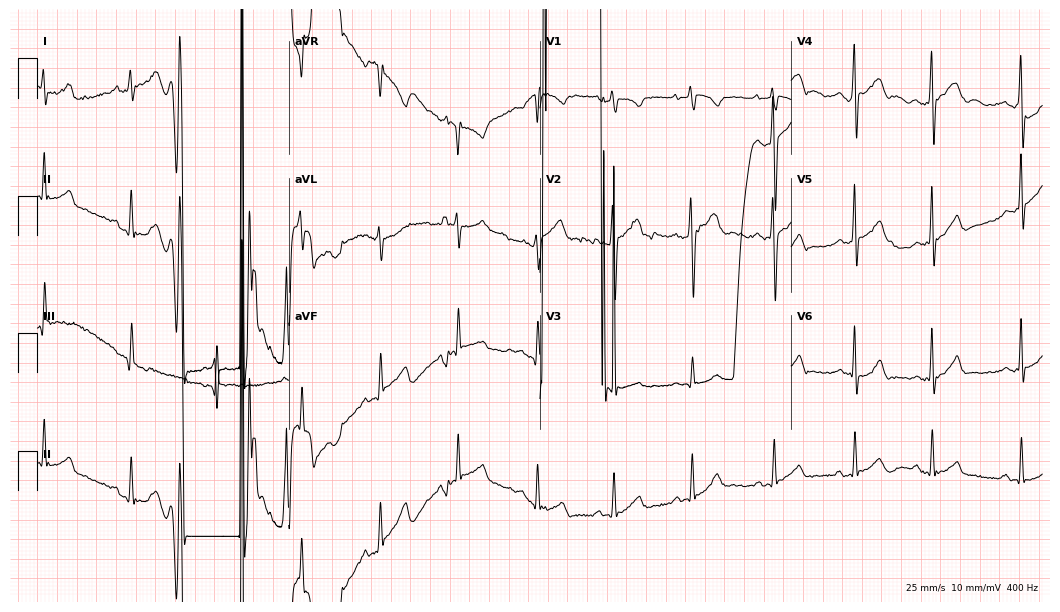
ECG — a male, 17 years old. Screened for six findings — first-degree AV block, right bundle branch block, left bundle branch block, sinus bradycardia, atrial fibrillation, sinus tachycardia — none is recorded. Other findings, if any, are not listed.